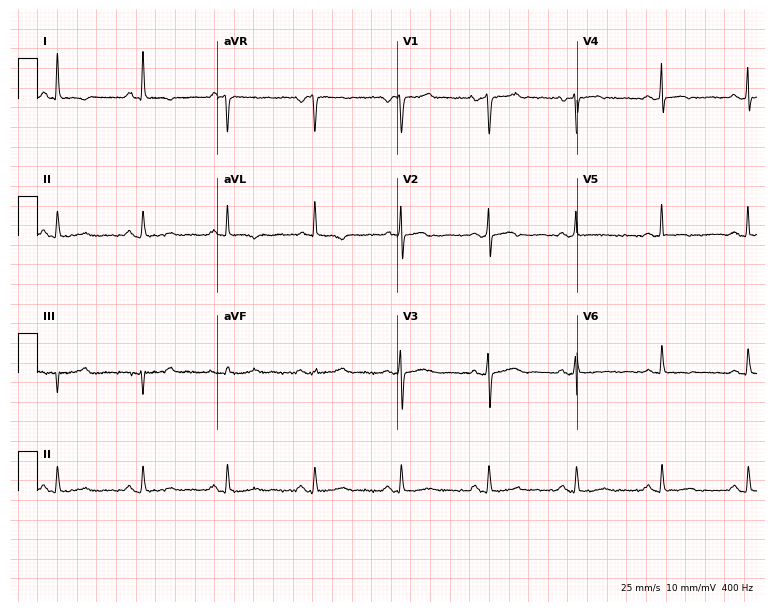
ECG — a 40-year-old female. Screened for six findings — first-degree AV block, right bundle branch block (RBBB), left bundle branch block (LBBB), sinus bradycardia, atrial fibrillation (AF), sinus tachycardia — none is recorded.